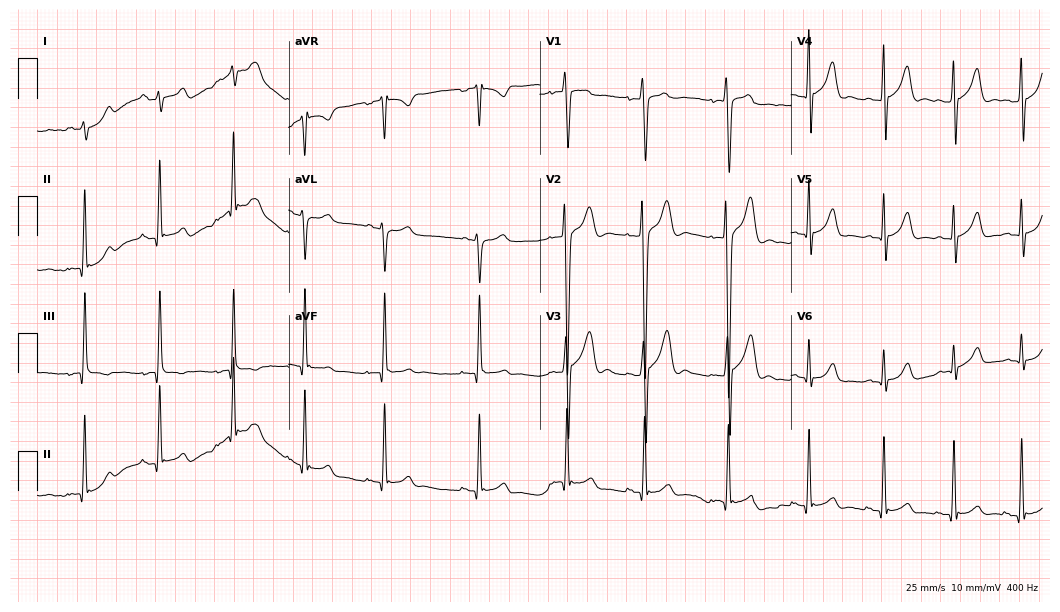
Electrocardiogram (10.2-second recording at 400 Hz), a male, 17 years old. Overall reading on record: normal ECG.